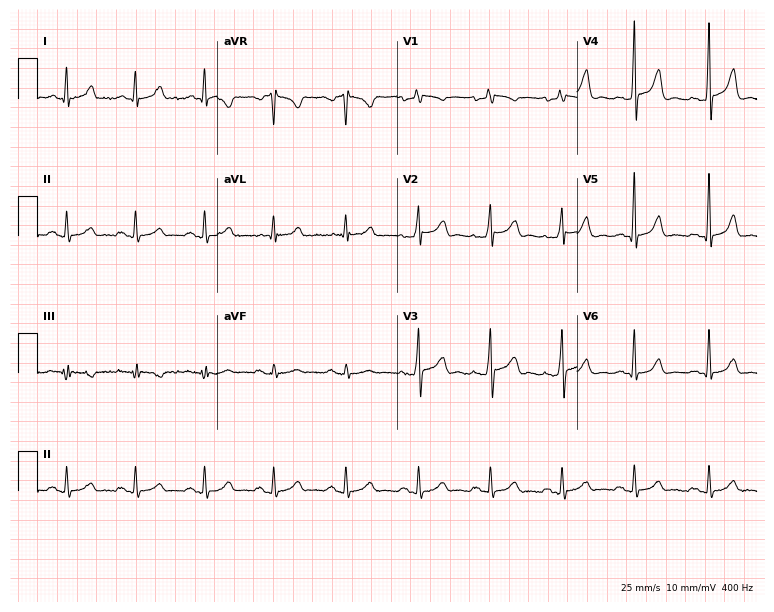
12-lead ECG (7.3-second recording at 400 Hz) from a 43-year-old male patient. Labelled as a normal ECG.